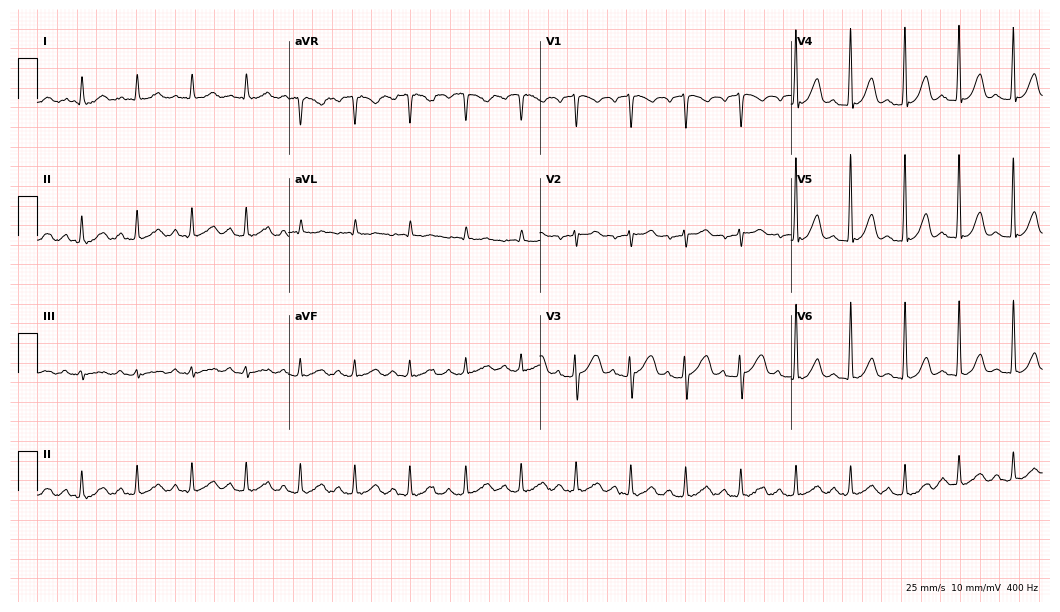
Resting 12-lead electrocardiogram (10.2-second recording at 400 Hz). Patient: a 52-year-old female. The tracing shows sinus tachycardia (a sinus rate of 100 beats per minute or more).